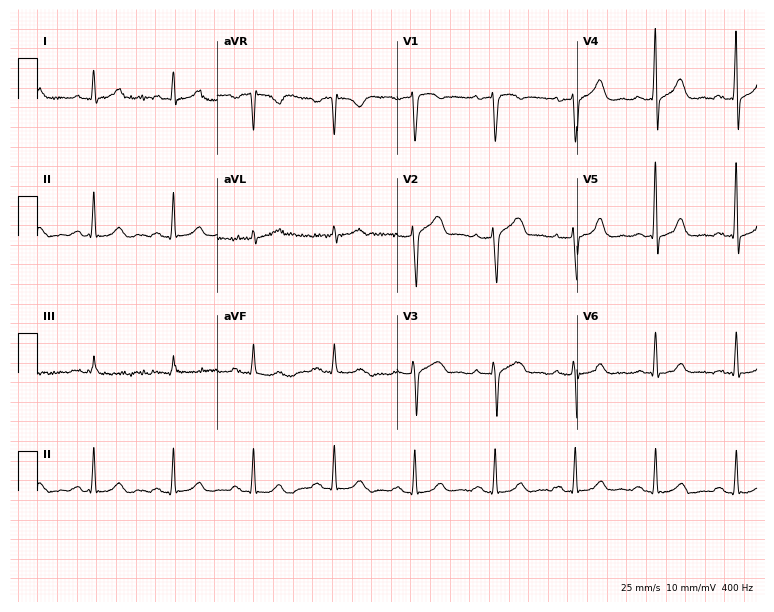
ECG (7.3-second recording at 400 Hz) — a 55-year-old male. Labelled as a normal ECG.